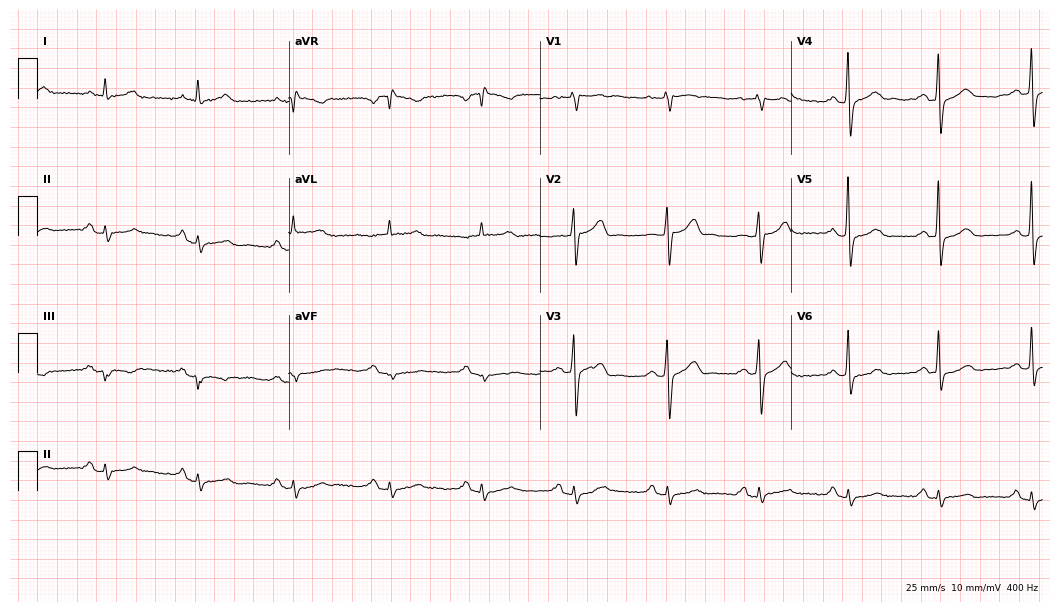
ECG (10.2-second recording at 400 Hz) — a 62-year-old man. Screened for six findings — first-degree AV block, right bundle branch block, left bundle branch block, sinus bradycardia, atrial fibrillation, sinus tachycardia — none is recorded. Findings outside these six are not listed.